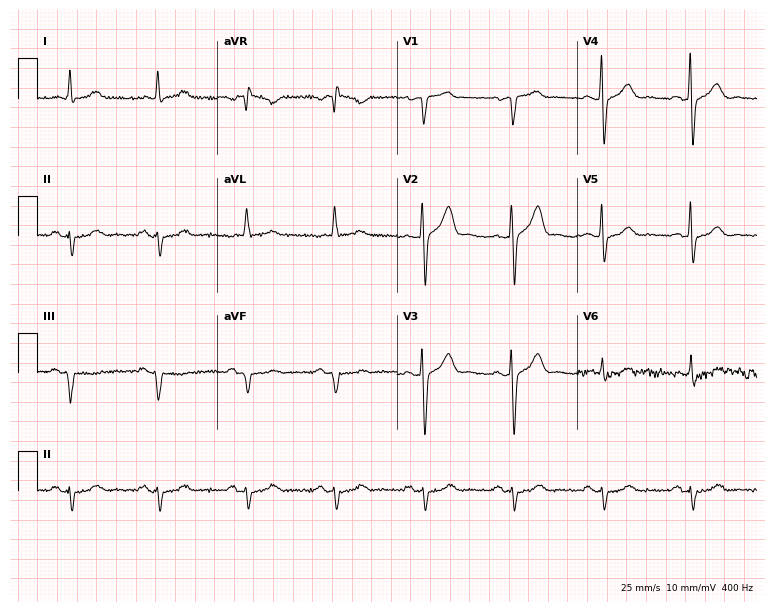
ECG (7.3-second recording at 400 Hz) — a 74-year-old male. Labelled as a normal ECG.